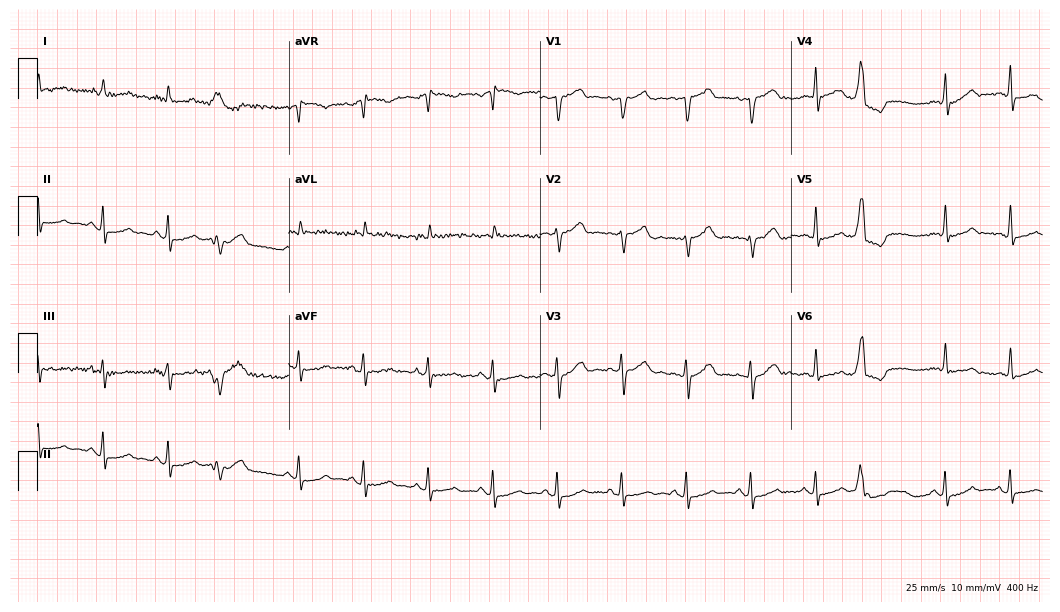
Resting 12-lead electrocardiogram. Patient: an 80-year-old male. None of these six findings is recorded: first-degree AV block, right bundle branch block, left bundle branch block, sinus bradycardia, atrial fibrillation, sinus tachycardia.